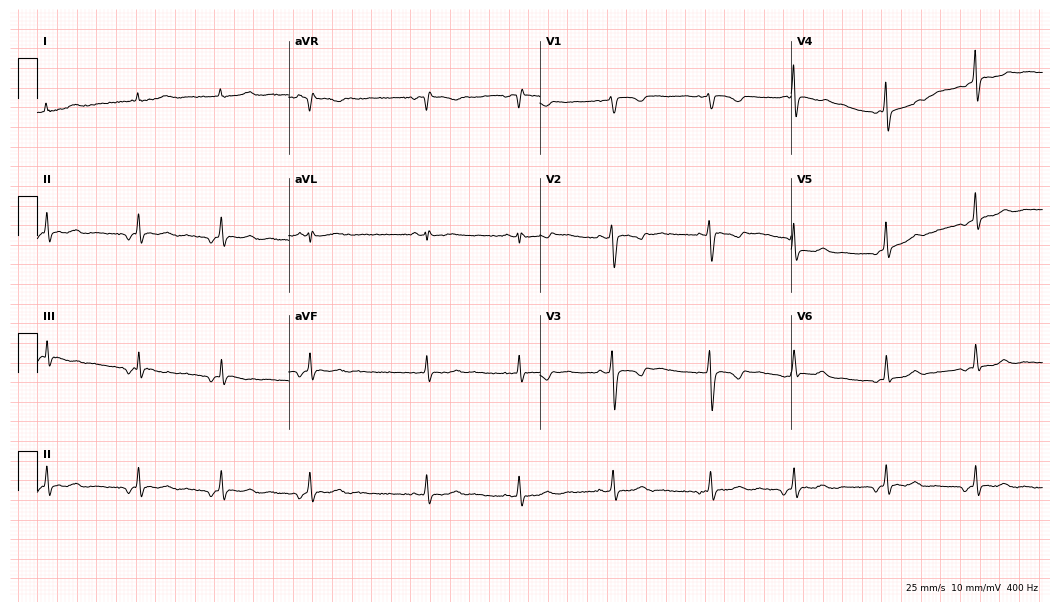
ECG — a woman, 18 years old. Screened for six findings — first-degree AV block, right bundle branch block (RBBB), left bundle branch block (LBBB), sinus bradycardia, atrial fibrillation (AF), sinus tachycardia — none is recorded.